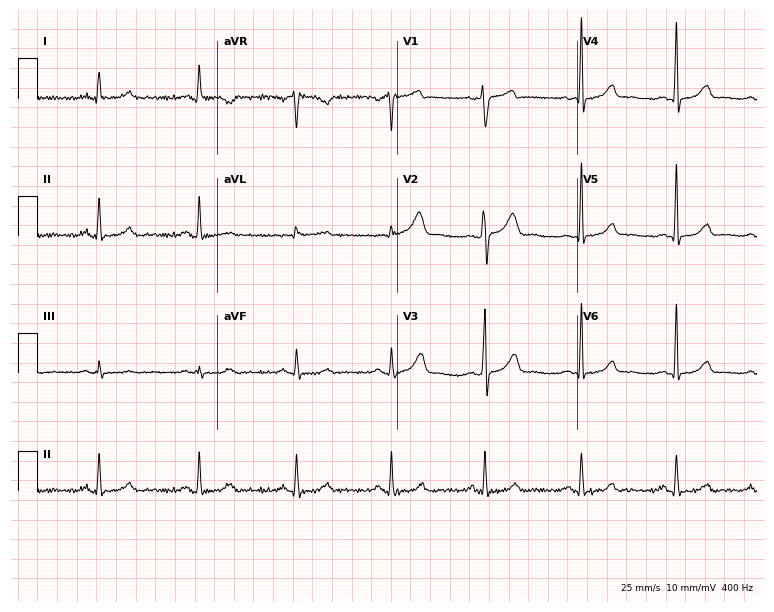
Electrocardiogram, a 45-year-old female patient. Of the six screened findings (first-degree AV block, right bundle branch block (RBBB), left bundle branch block (LBBB), sinus bradycardia, atrial fibrillation (AF), sinus tachycardia), none is recorded. Only these six findings were labelled.